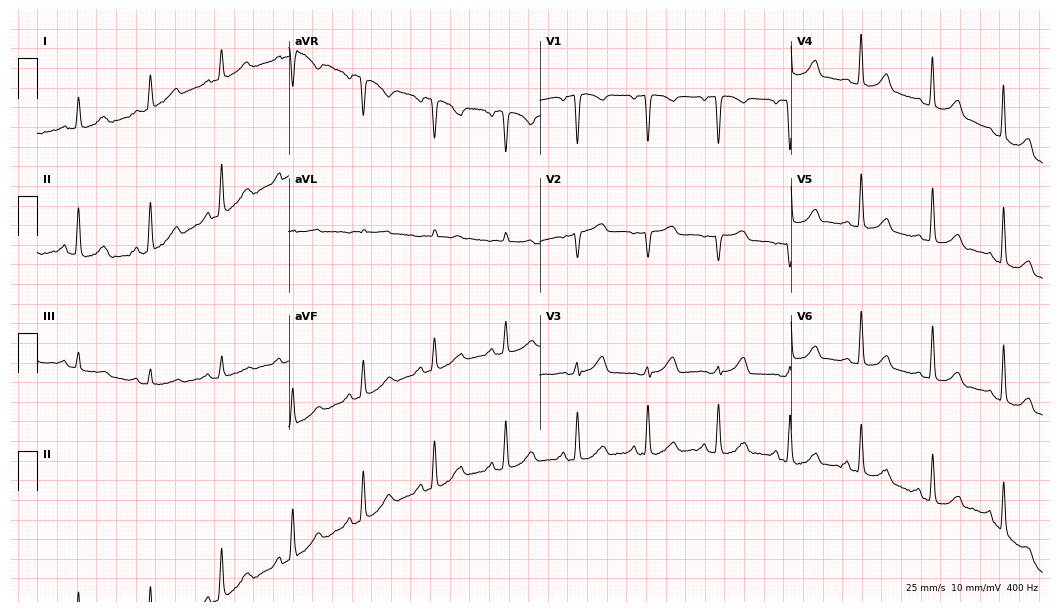
Standard 12-lead ECG recorded from a female, 51 years old. None of these six findings is recorded: first-degree AV block, right bundle branch block (RBBB), left bundle branch block (LBBB), sinus bradycardia, atrial fibrillation (AF), sinus tachycardia. Findings outside these six are not listed.